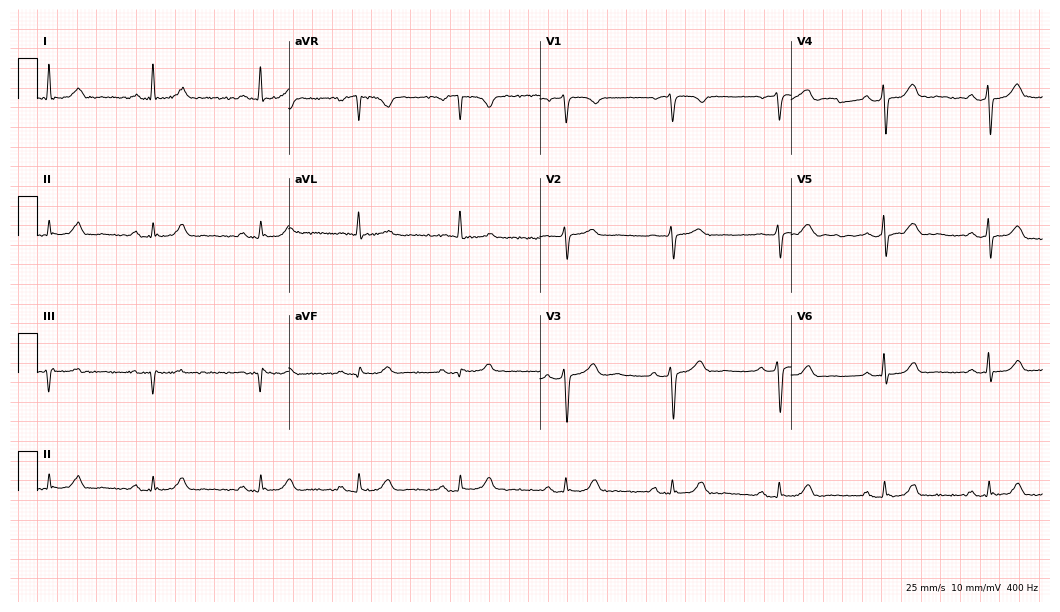
ECG — a female, 54 years old. Screened for six findings — first-degree AV block, right bundle branch block (RBBB), left bundle branch block (LBBB), sinus bradycardia, atrial fibrillation (AF), sinus tachycardia — none is recorded.